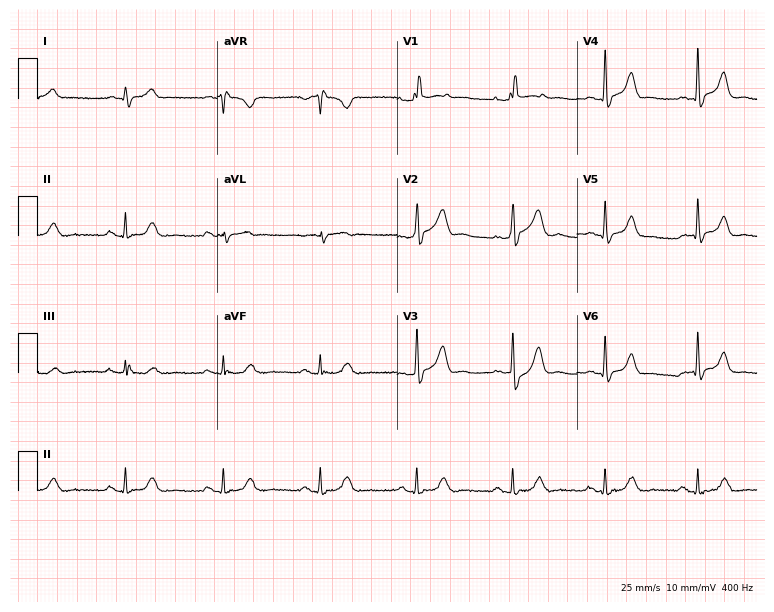
Electrocardiogram (7.3-second recording at 400 Hz), a 57-year-old male. Of the six screened findings (first-degree AV block, right bundle branch block, left bundle branch block, sinus bradycardia, atrial fibrillation, sinus tachycardia), none is recorded.